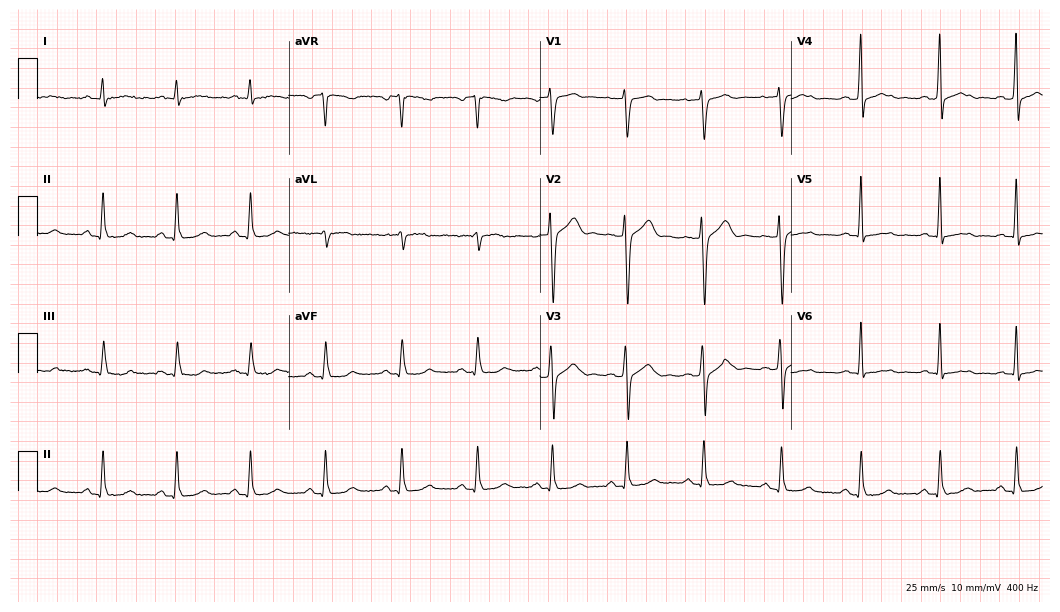
Electrocardiogram, a 58-year-old female patient. Of the six screened findings (first-degree AV block, right bundle branch block, left bundle branch block, sinus bradycardia, atrial fibrillation, sinus tachycardia), none is recorded.